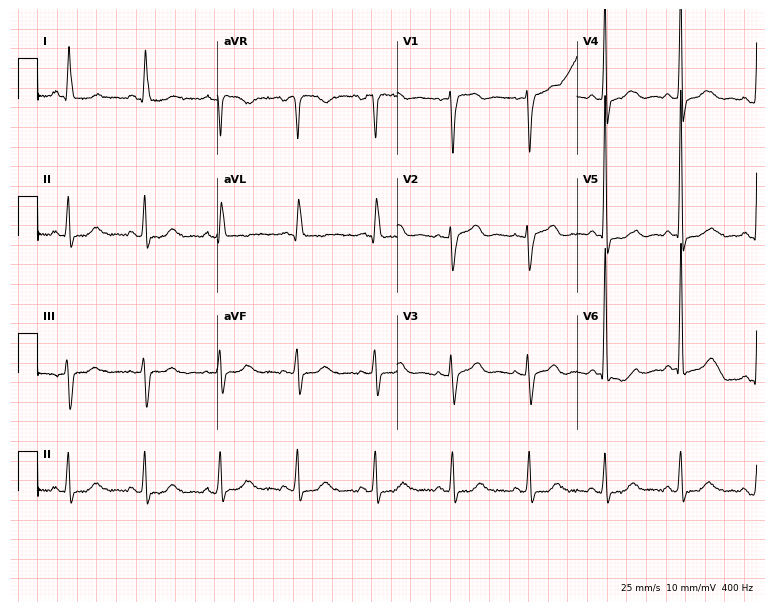
Standard 12-lead ECG recorded from a female patient, 78 years old. Read as a normal ECG.